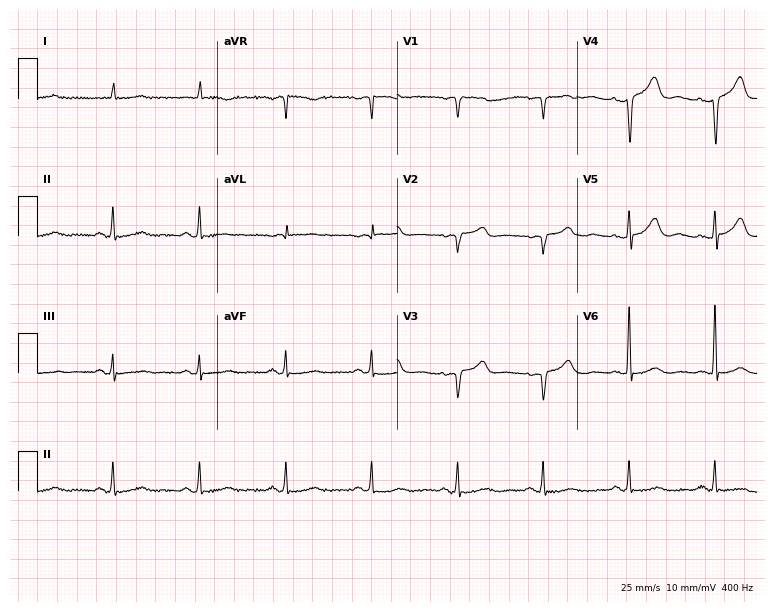
Standard 12-lead ECG recorded from an 84-year-old male (7.3-second recording at 400 Hz). None of these six findings is recorded: first-degree AV block, right bundle branch block, left bundle branch block, sinus bradycardia, atrial fibrillation, sinus tachycardia. Only these six findings were labelled.